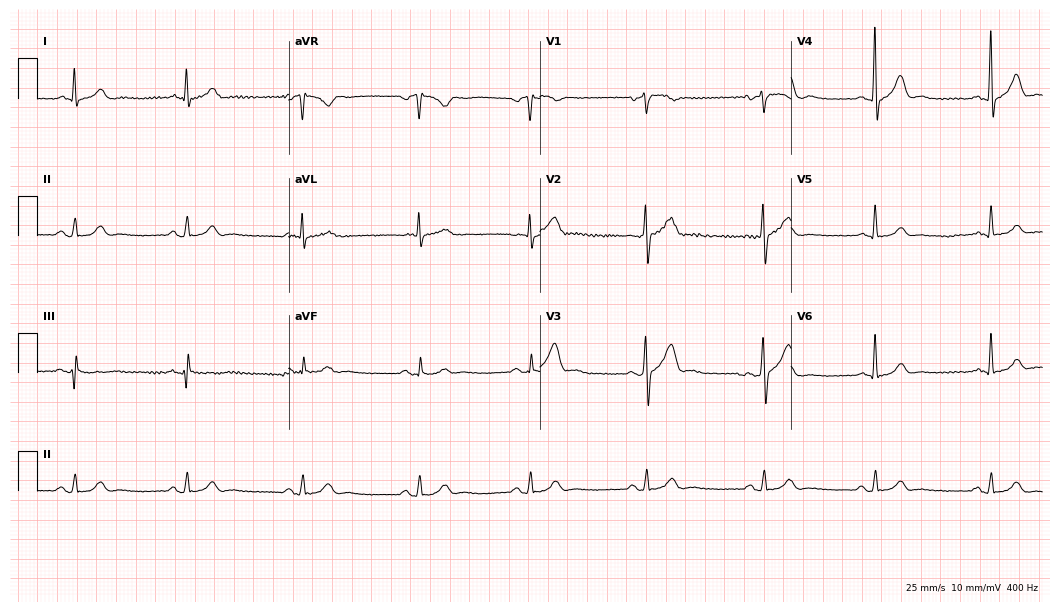
Standard 12-lead ECG recorded from a 53-year-old man. Read as a normal ECG.